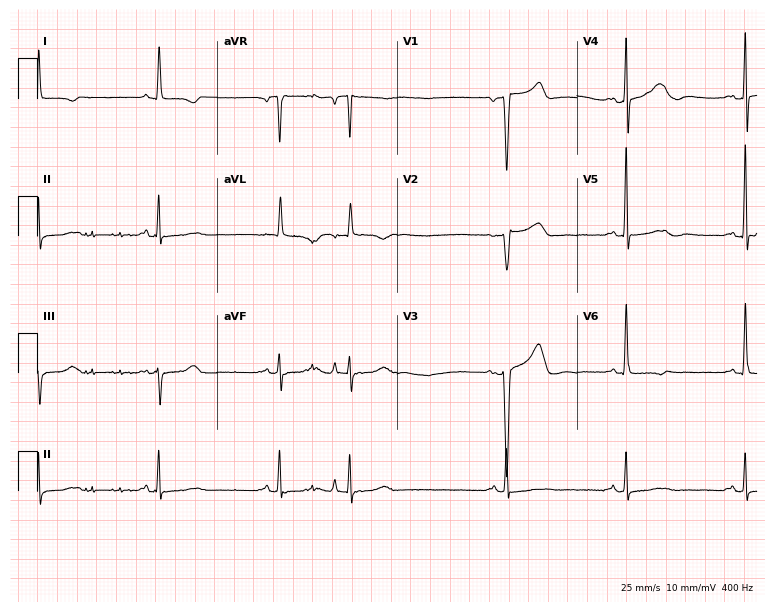
ECG — a female, 71 years old. Findings include sinus bradycardia (a sinus rate of 50 beats per minute or less).